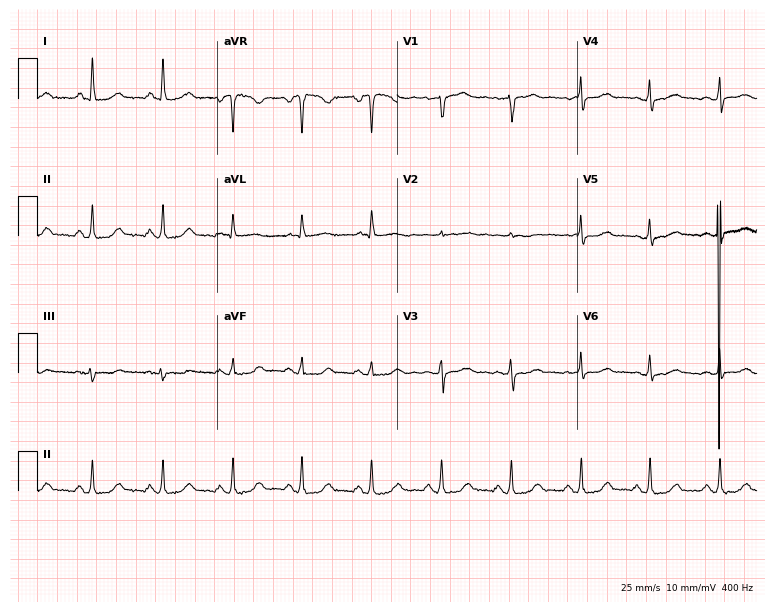
Resting 12-lead electrocardiogram. Patient: a 59-year-old woman. None of these six findings is recorded: first-degree AV block, right bundle branch block, left bundle branch block, sinus bradycardia, atrial fibrillation, sinus tachycardia. Other findings, if any, are not listed.